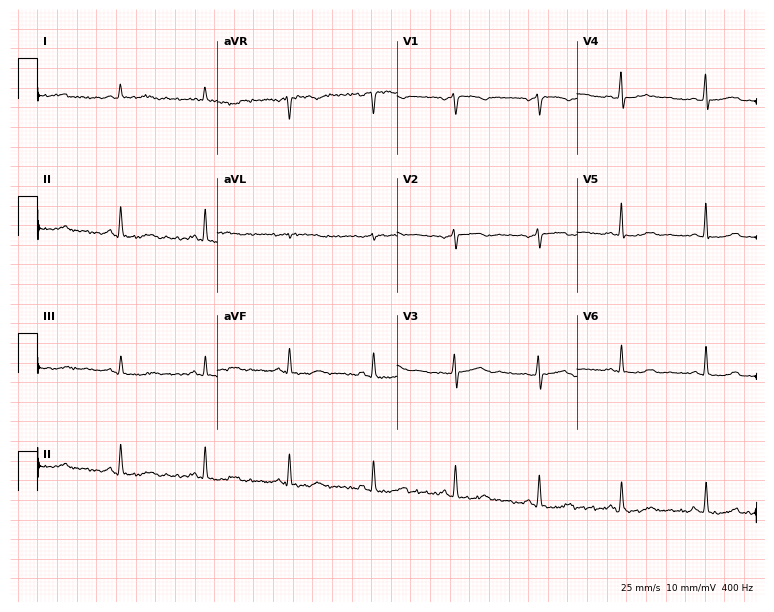
ECG — a female, 46 years old. Screened for six findings — first-degree AV block, right bundle branch block, left bundle branch block, sinus bradycardia, atrial fibrillation, sinus tachycardia — none is recorded. Other findings, if any, are not listed.